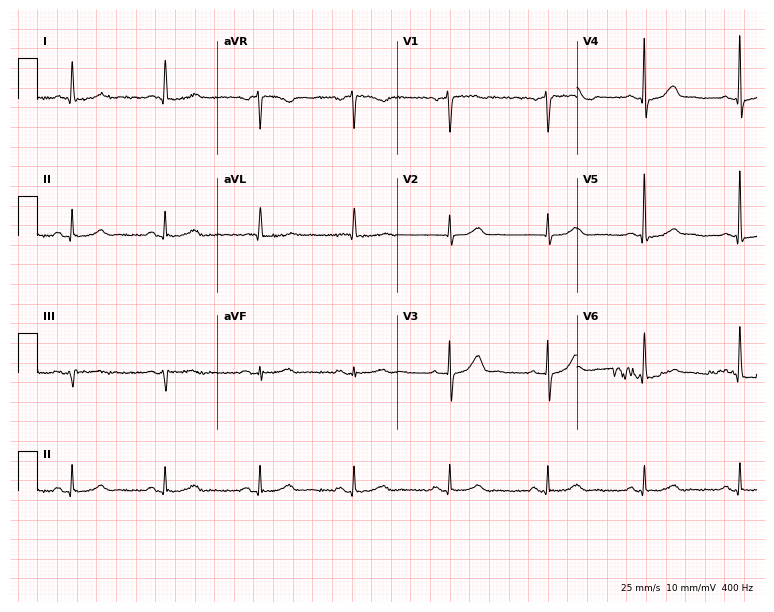
12-lead ECG from a 66-year-old man. Screened for six findings — first-degree AV block, right bundle branch block, left bundle branch block, sinus bradycardia, atrial fibrillation, sinus tachycardia — none is recorded.